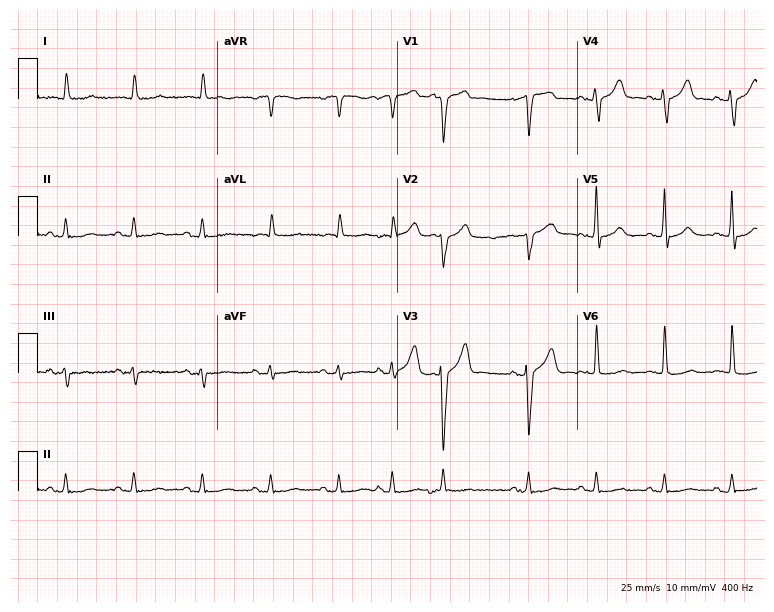
Standard 12-lead ECG recorded from a male patient, 85 years old. None of these six findings is recorded: first-degree AV block, right bundle branch block (RBBB), left bundle branch block (LBBB), sinus bradycardia, atrial fibrillation (AF), sinus tachycardia.